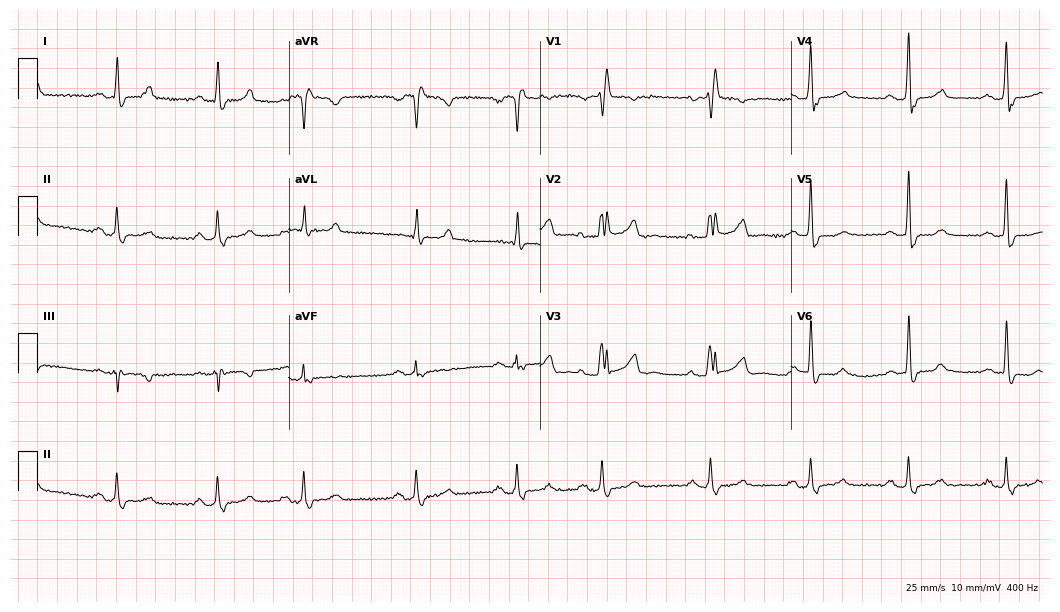
ECG — a 70-year-old female patient. Findings include right bundle branch block.